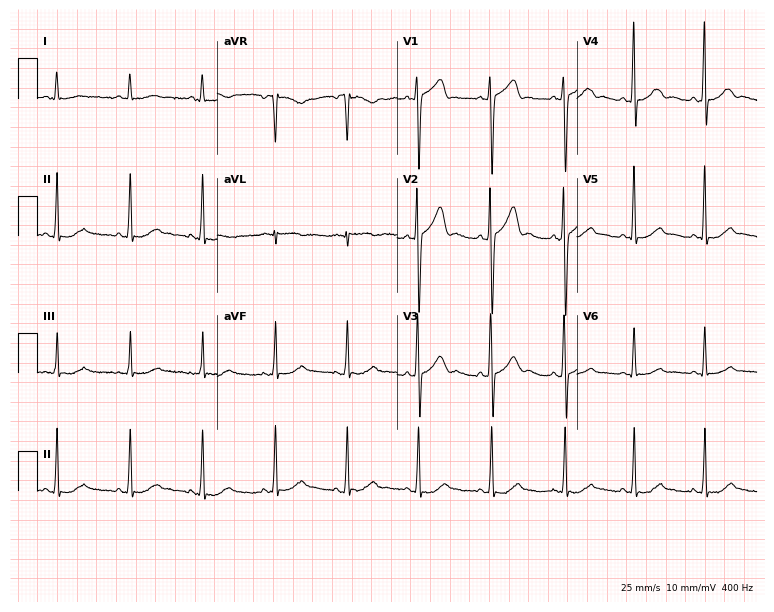
Electrocardiogram (7.3-second recording at 400 Hz), a 41-year-old man. Of the six screened findings (first-degree AV block, right bundle branch block (RBBB), left bundle branch block (LBBB), sinus bradycardia, atrial fibrillation (AF), sinus tachycardia), none is recorded.